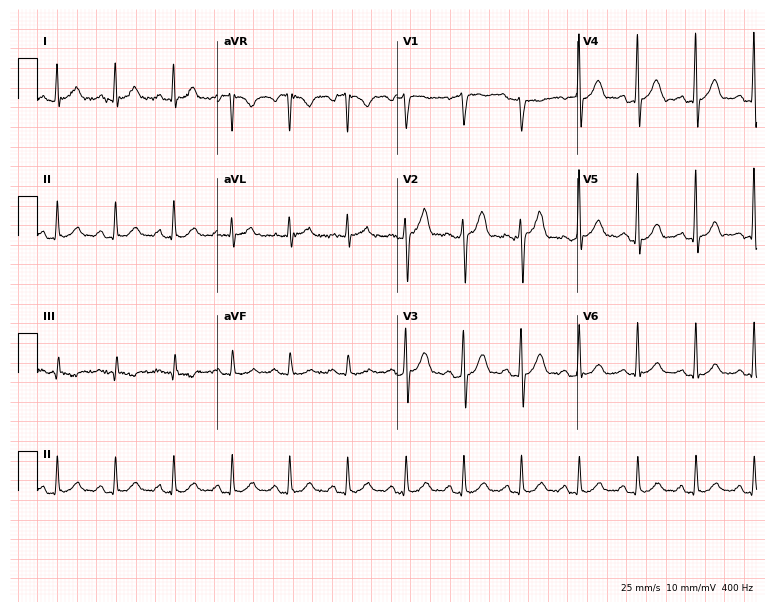
ECG (7.3-second recording at 400 Hz) — a man, 59 years old. Findings include sinus tachycardia (a sinus rate of 100 beats per minute or more).